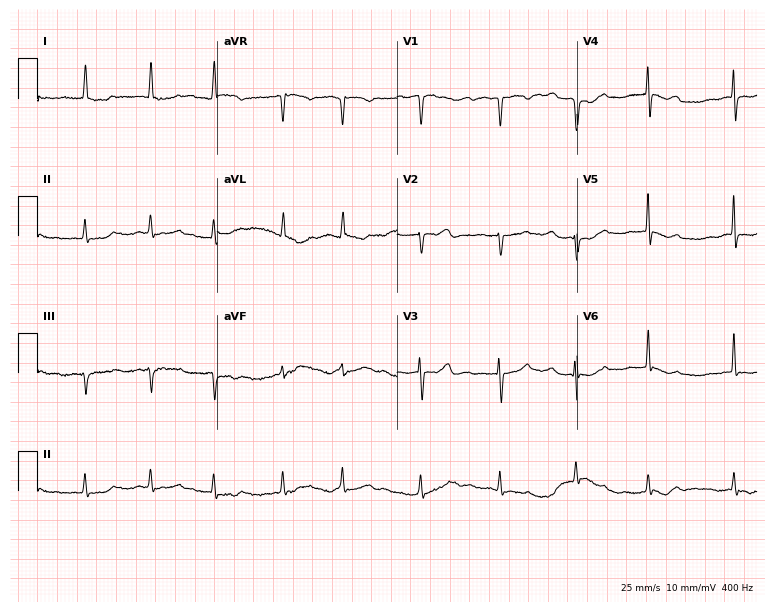
Electrocardiogram (7.3-second recording at 400 Hz), a female, 83 years old. Interpretation includes atrial fibrillation (AF).